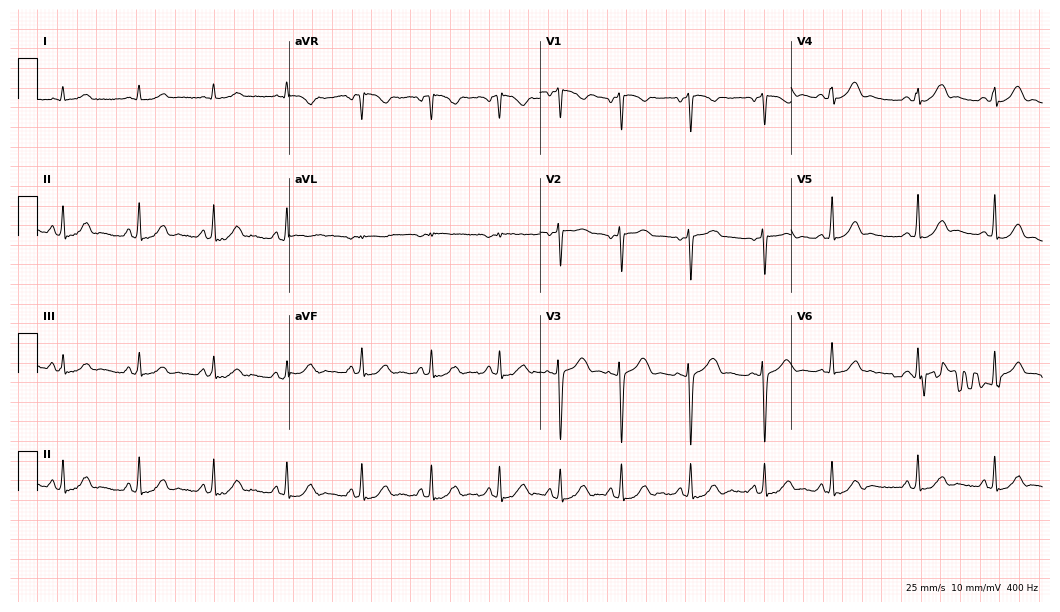
12-lead ECG from a female, 28 years old. Screened for six findings — first-degree AV block, right bundle branch block, left bundle branch block, sinus bradycardia, atrial fibrillation, sinus tachycardia — none is recorded.